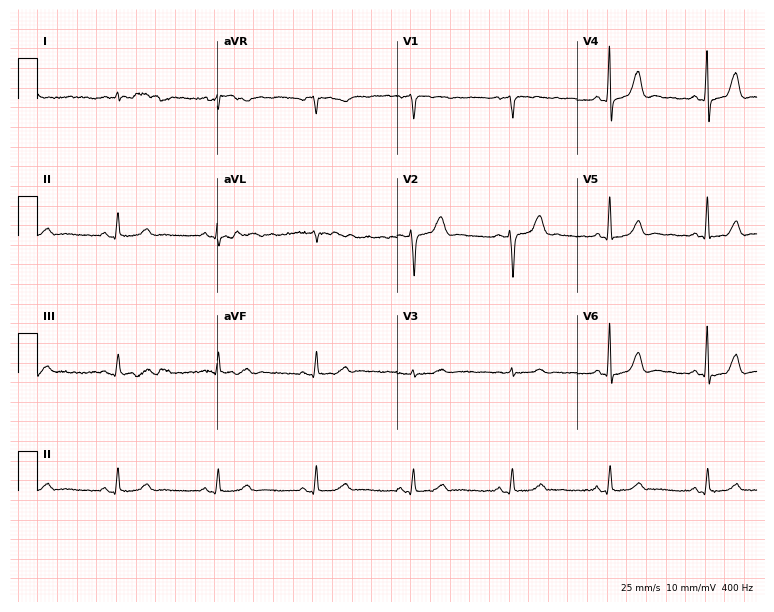
Standard 12-lead ECG recorded from a 65-year-old woman. Read as a normal ECG.